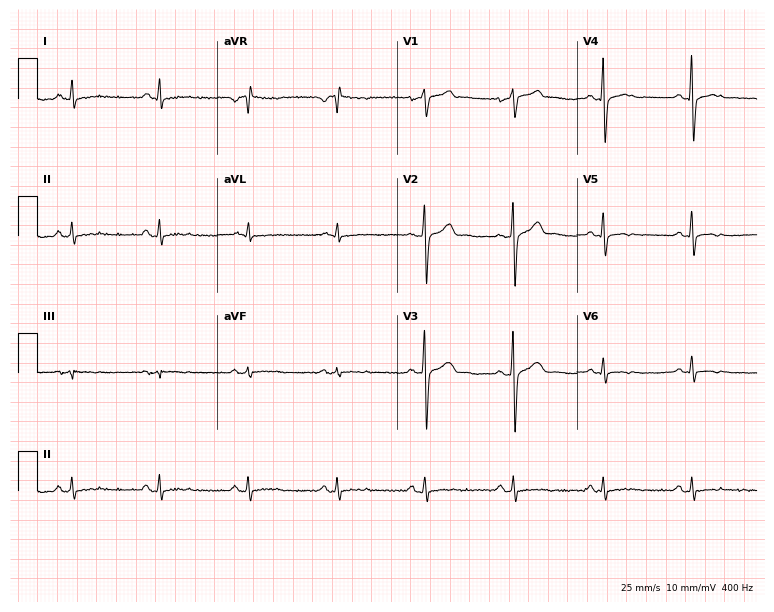
Resting 12-lead electrocardiogram. Patient: a male, 58 years old. None of these six findings is recorded: first-degree AV block, right bundle branch block (RBBB), left bundle branch block (LBBB), sinus bradycardia, atrial fibrillation (AF), sinus tachycardia. Other findings, if any, are not listed.